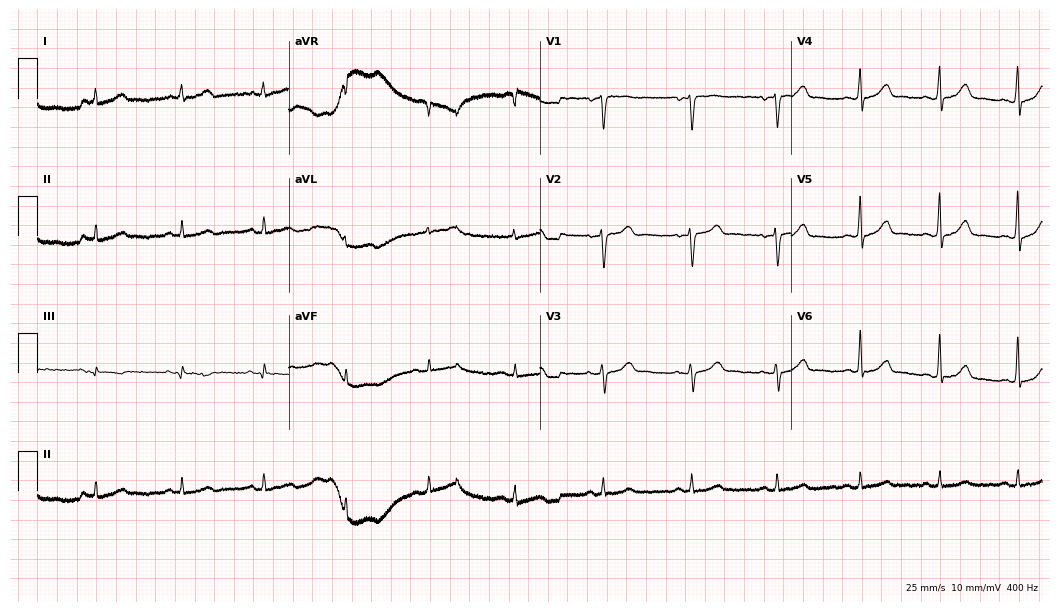
ECG — a 40-year-old female. Labelled as a normal ECG.